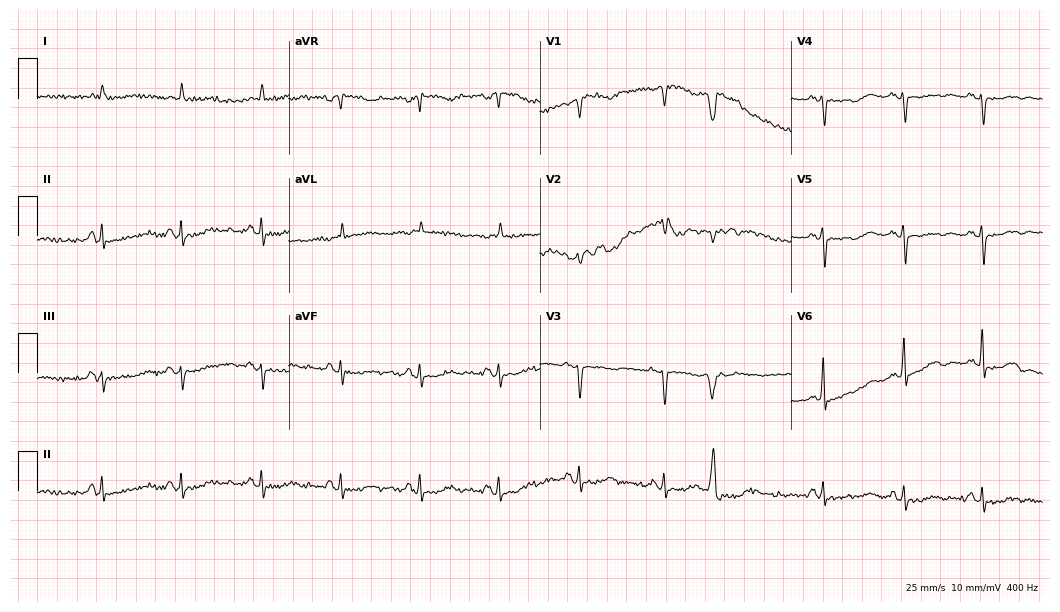
ECG (10.2-second recording at 400 Hz) — a female patient, 83 years old. Screened for six findings — first-degree AV block, right bundle branch block (RBBB), left bundle branch block (LBBB), sinus bradycardia, atrial fibrillation (AF), sinus tachycardia — none is recorded.